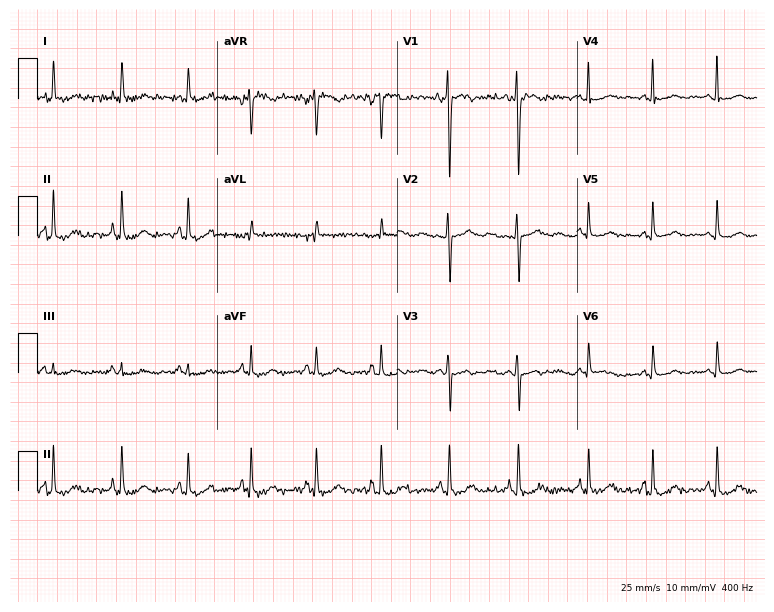
ECG — a woman, 33 years old. Screened for six findings — first-degree AV block, right bundle branch block (RBBB), left bundle branch block (LBBB), sinus bradycardia, atrial fibrillation (AF), sinus tachycardia — none is recorded. Only these six findings were labelled.